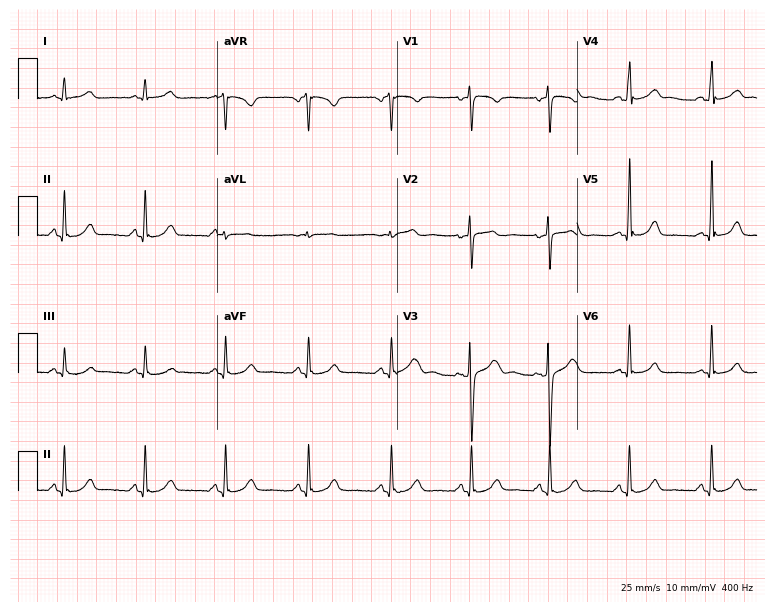
12-lead ECG from a female, 41 years old. Recorded interpretation: within normal limits.